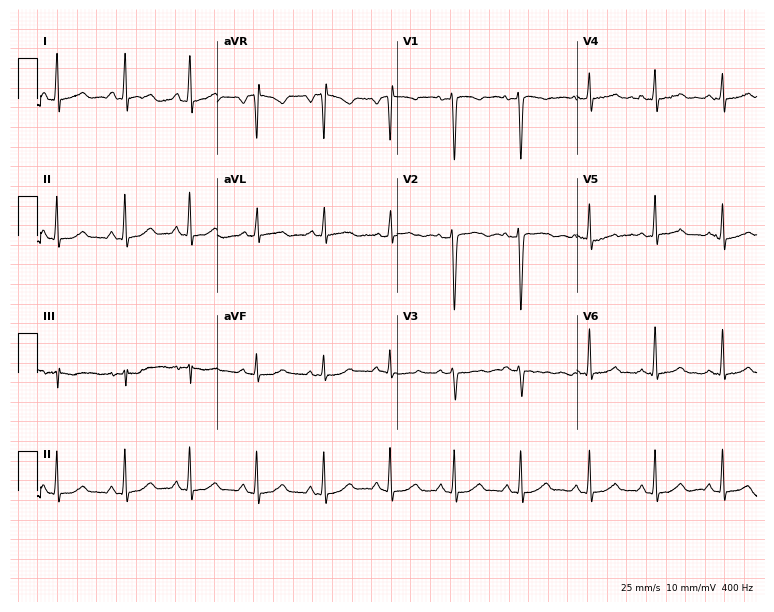
Resting 12-lead electrocardiogram (7.3-second recording at 400 Hz). Patient: a 21-year-old woman. Read as a normal ECG.